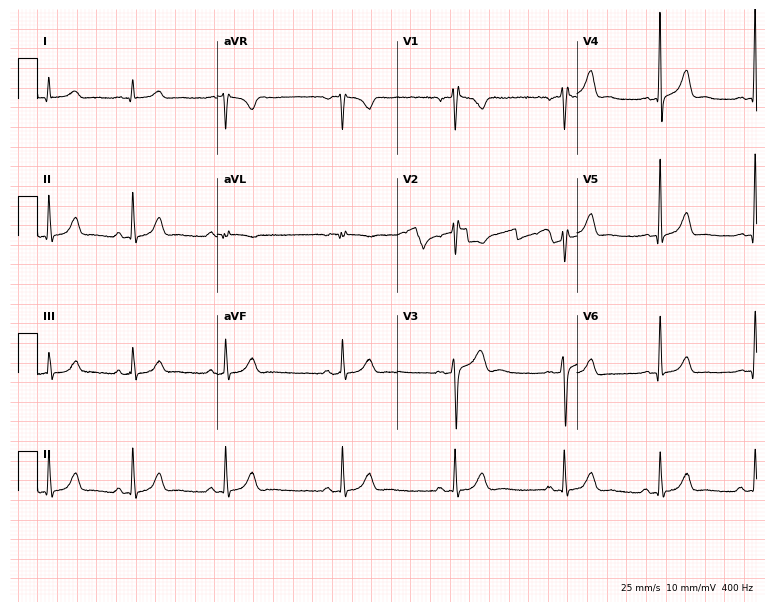
Standard 12-lead ECG recorded from a male, 27 years old (7.3-second recording at 400 Hz). None of these six findings is recorded: first-degree AV block, right bundle branch block (RBBB), left bundle branch block (LBBB), sinus bradycardia, atrial fibrillation (AF), sinus tachycardia. Only these six findings were labelled.